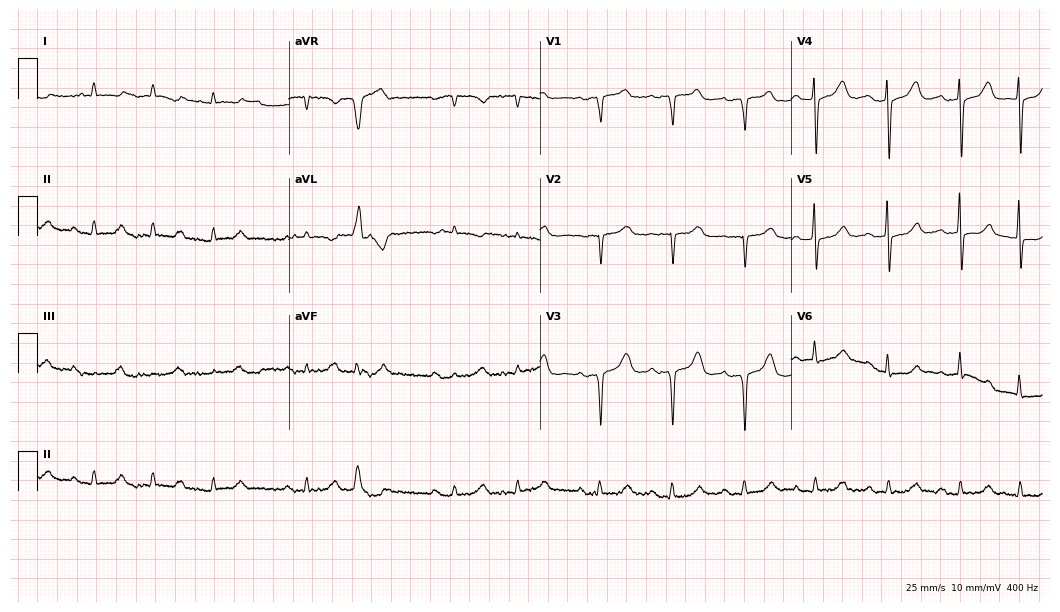
Standard 12-lead ECG recorded from an 85-year-old woman (10.2-second recording at 400 Hz). None of these six findings is recorded: first-degree AV block, right bundle branch block, left bundle branch block, sinus bradycardia, atrial fibrillation, sinus tachycardia.